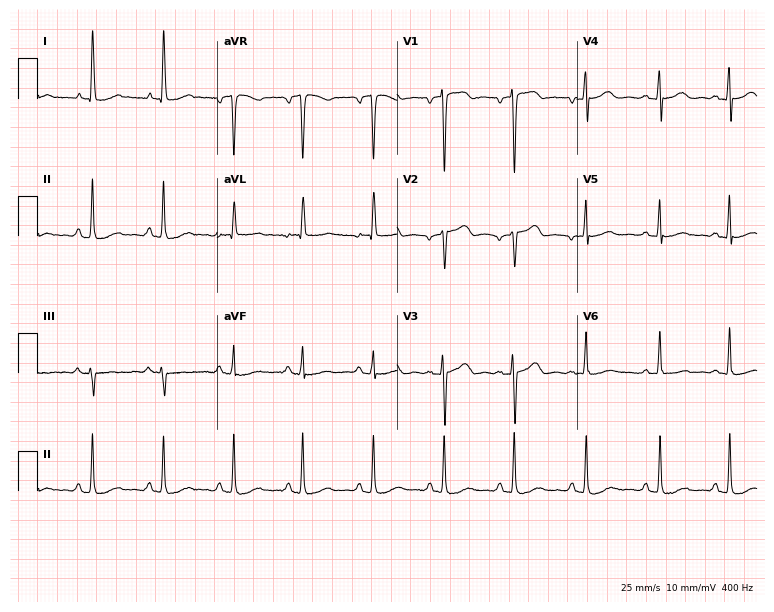
12-lead ECG from a female, 48 years old. No first-degree AV block, right bundle branch block (RBBB), left bundle branch block (LBBB), sinus bradycardia, atrial fibrillation (AF) or sinus tachycardia recorded for this tracing.